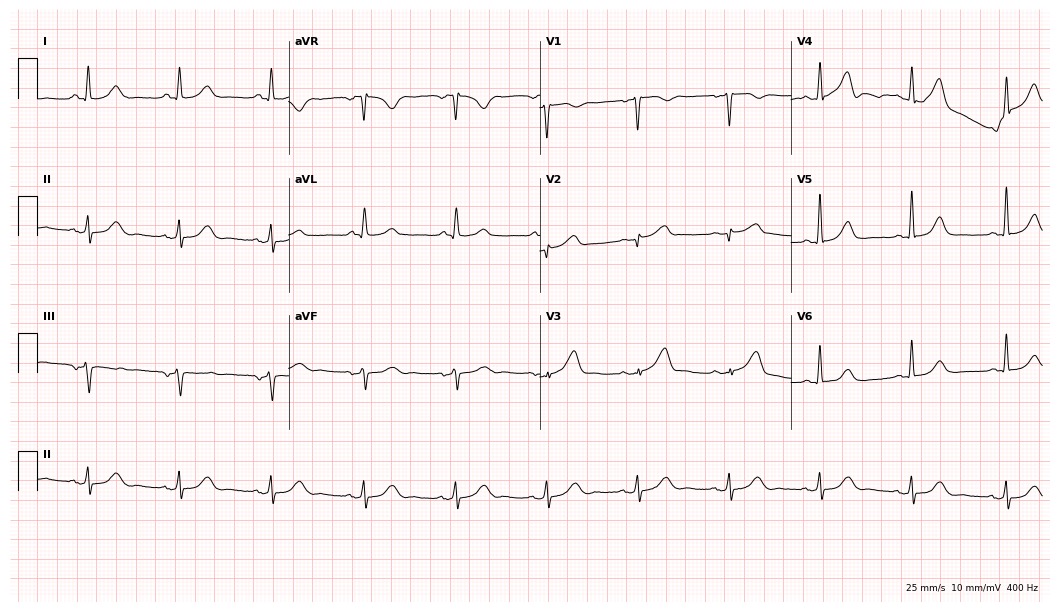
Resting 12-lead electrocardiogram. Patient: a 62-year-old male. None of these six findings is recorded: first-degree AV block, right bundle branch block, left bundle branch block, sinus bradycardia, atrial fibrillation, sinus tachycardia. Findings outside these six are not listed.